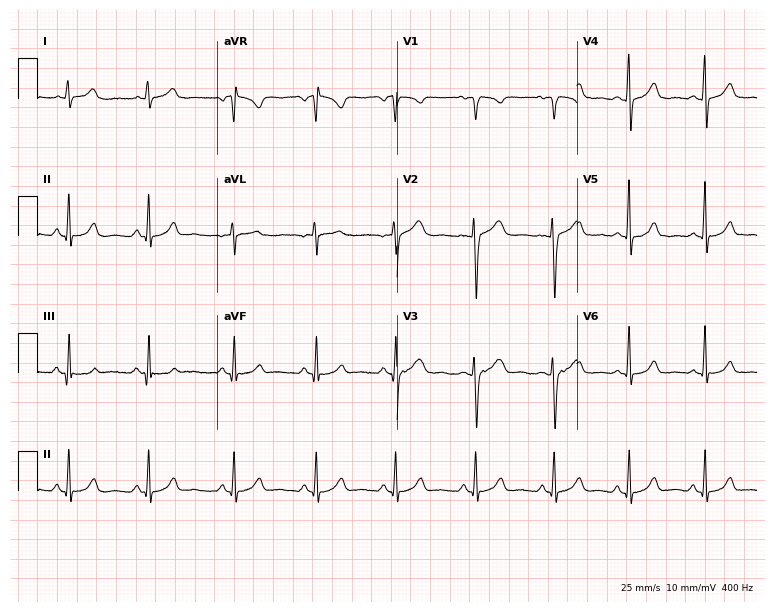
Standard 12-lead ECG recorded from a female, 29 years old (7.3-second recording at 400 Hz). Read as a normal ECG.